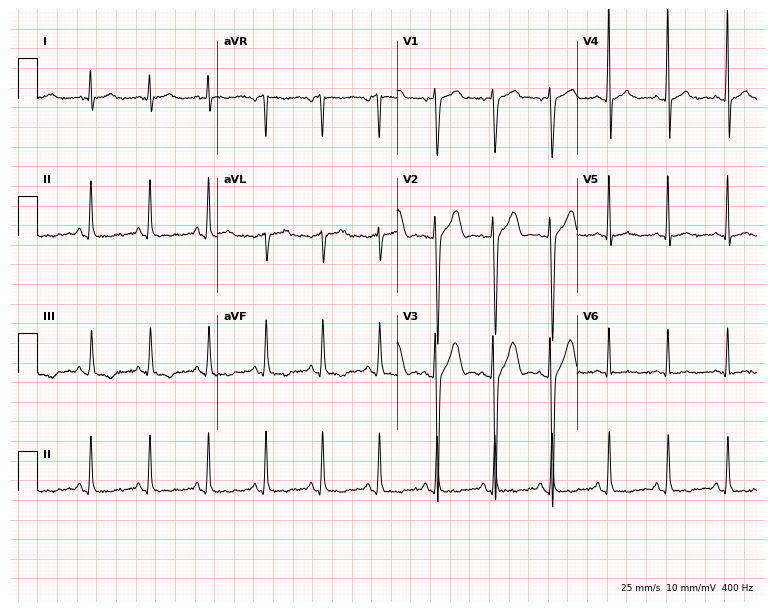
Electrocardiogram, a male, 22 years old. Interpretation includes sinus tachycardia (a sinus rate of 100 beats per minute or more).